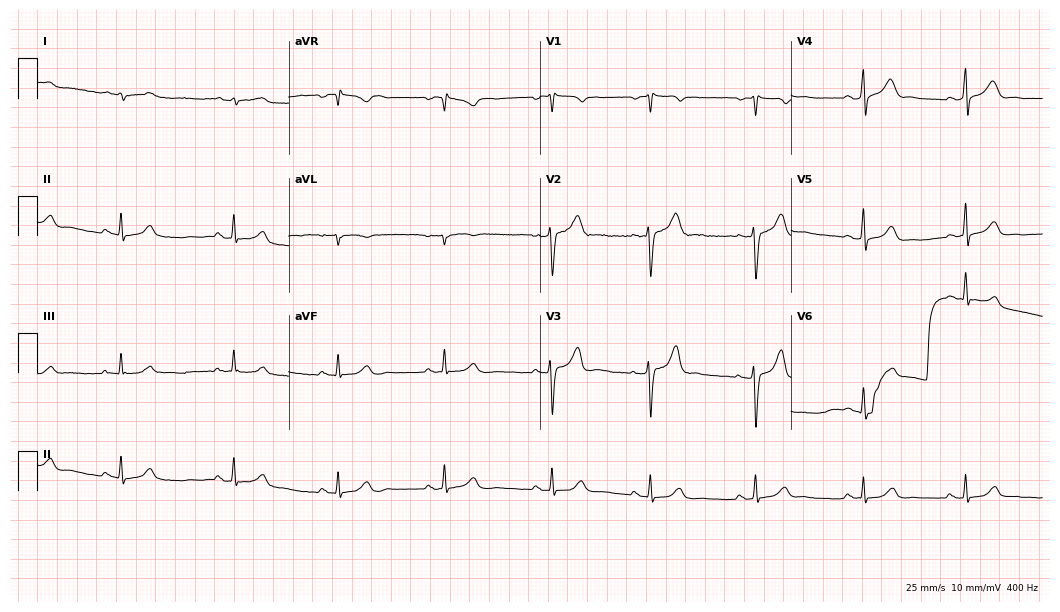
Standard 12-lead ECG recorded from a male, 39 years old. None of these six findings is recorded: first-degree AV block, right bundle branch block, left bundle branch block, sinus bradycardia, atrial fibrillation, sinus tachycardia. Only these six findings were labelled.